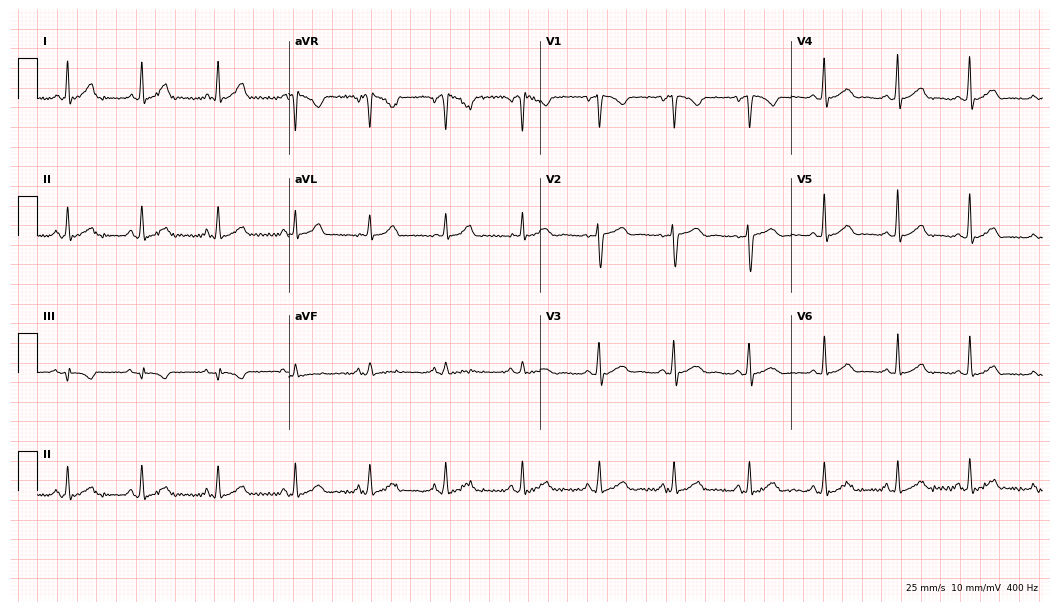
12-lead ECG (10.2-second recording at 400 Hz) from a 21-year-old female patient. Labelled as a normal ECG.